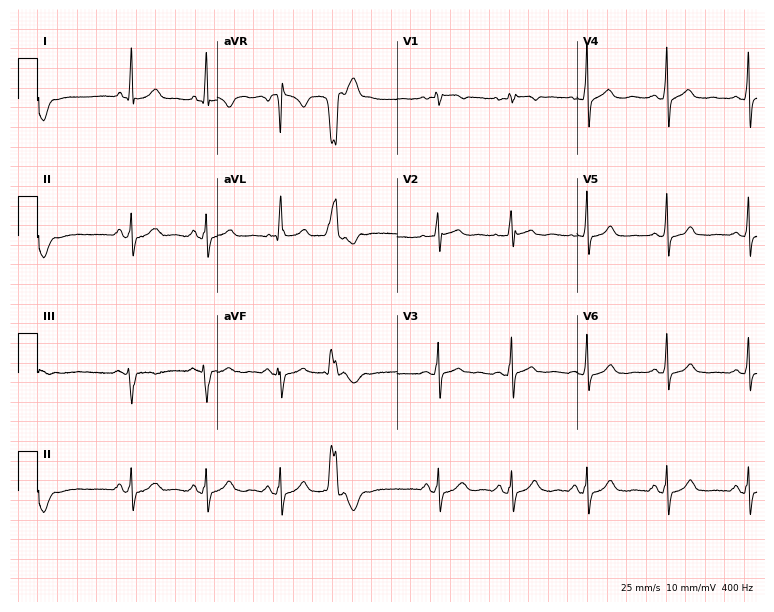
12-lead ECG from a 47-year-old female patient. Screened for six findings — first-degree AV block, right bundle branch block, left bundle branch block, sinus bradycardia, atrial fibrillation, sinus tachycardia — none is recorded. Findings outside these six are not listed.